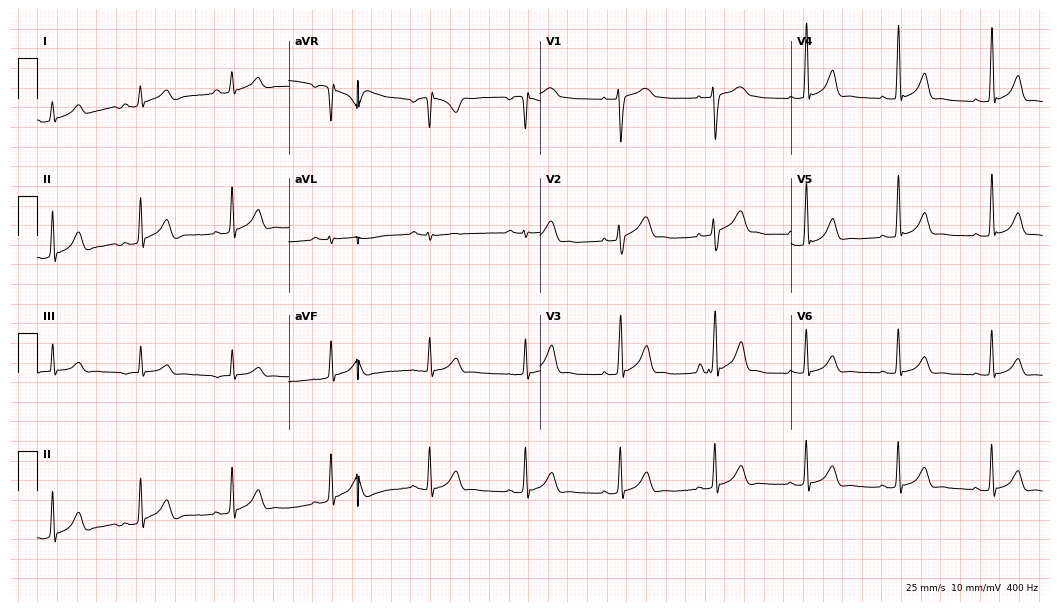
Resting 12-lead electrocardiogram (10.2-second recording at 400 Hz). Patient: a 30-year-old male. Read as a normal ECG.